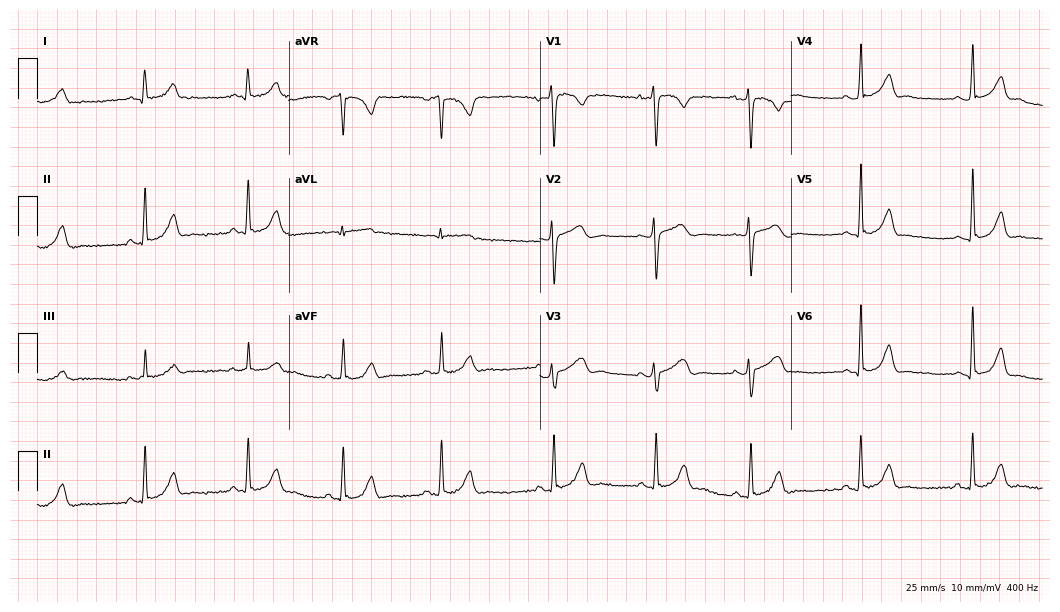
Electrocardiogram, a 32-year-old female patient. Overall reading on record: normal ECG.